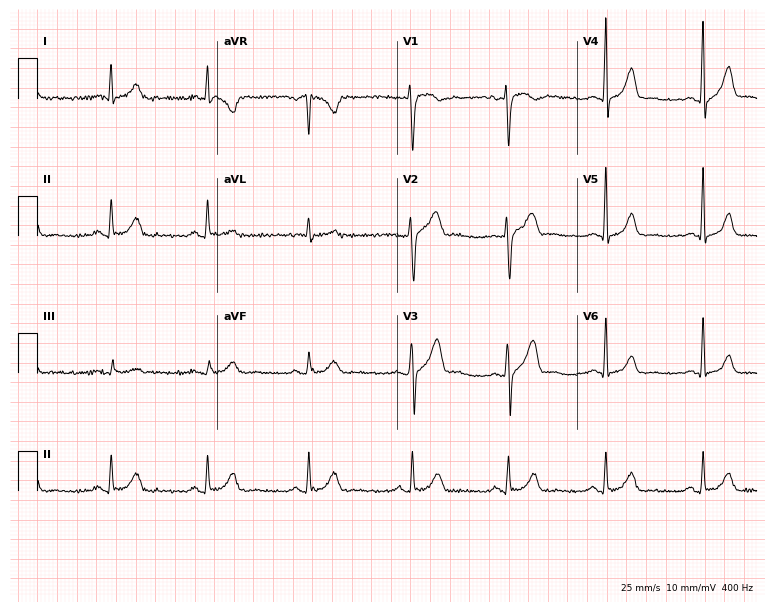
Standard 12-lead ECG recorded from a male patient, 39 years old. None of these six findings is recorded: first-degree AV block, right bundle branch block, left bundle branch block, sinus bradycardia, atrial fibrillation, sinus tachycardia.